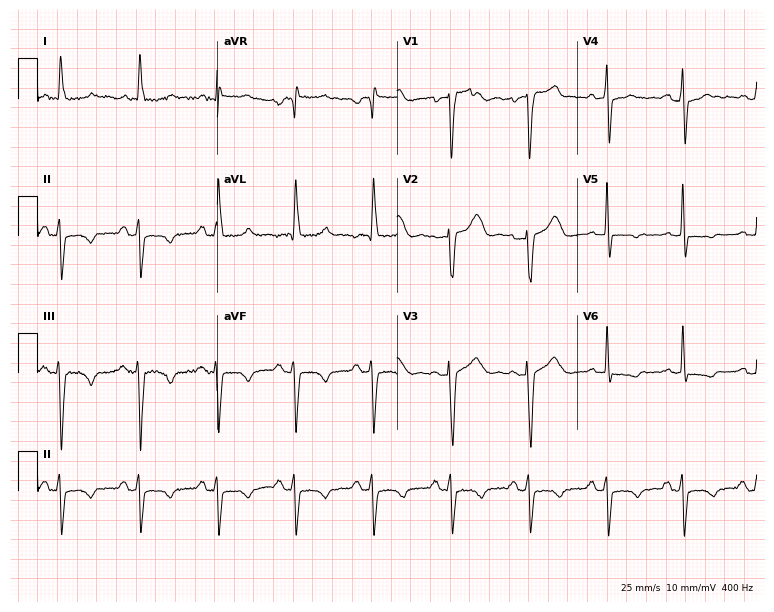
ECG (7.3-second recording at 400 Hz) — a 52-year-old male. Screened for six findings — first-degree AV block, right bundle branch block, left bundle branch block, sinus bradycardia, atrial fibrillation, sinus tachycardia — none is recorded.